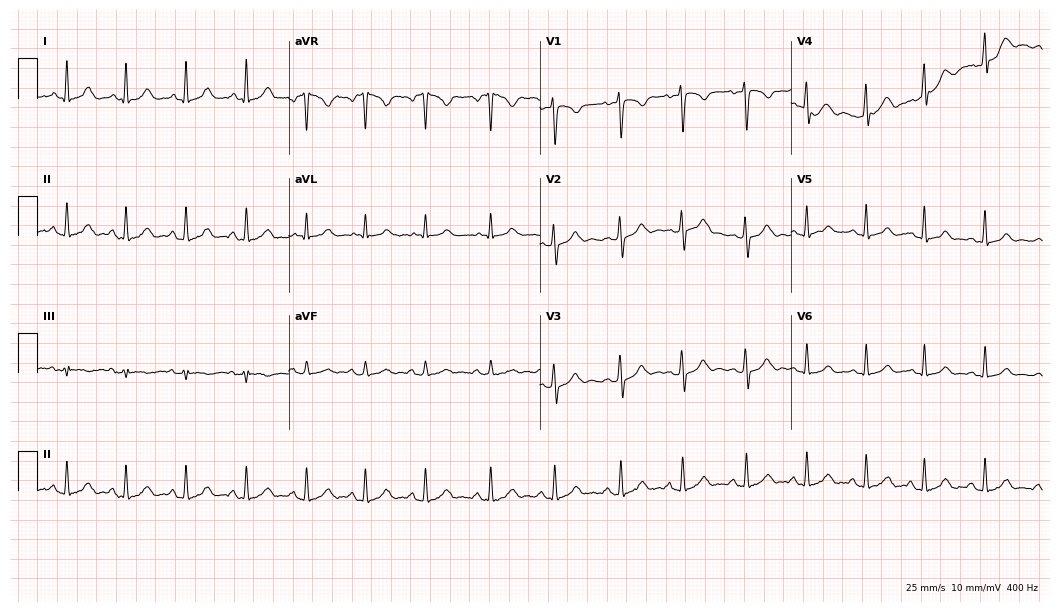
ECG (10.2-second recording at 400 Hz) — a 20-year-old woman. Labelled as a normal ECG.